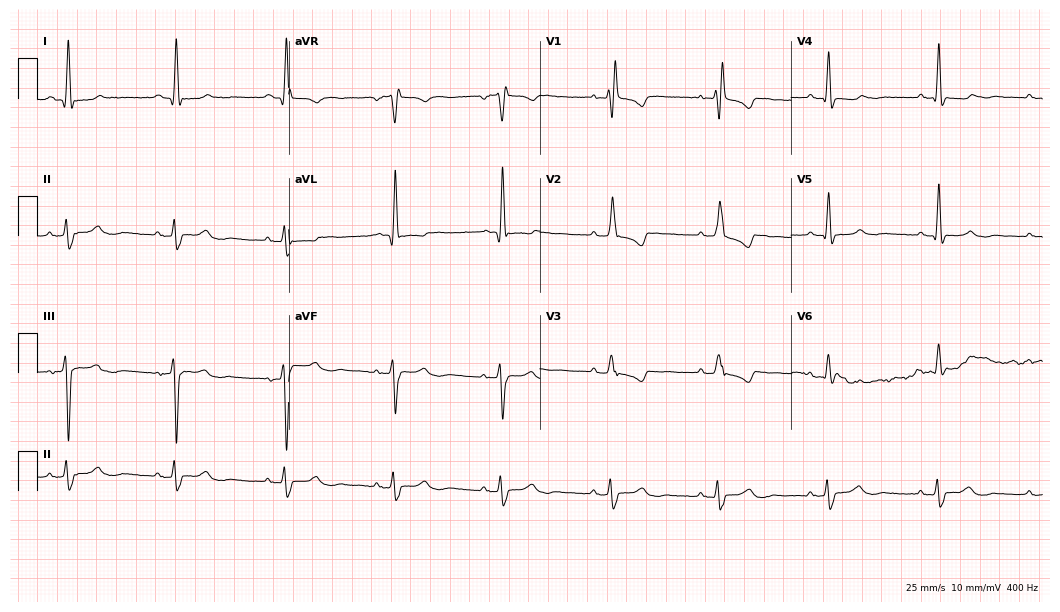
ECG (10.2-second recording at 400 Hz) — an 82-year-old female patient. Findings include right bundle branch block.